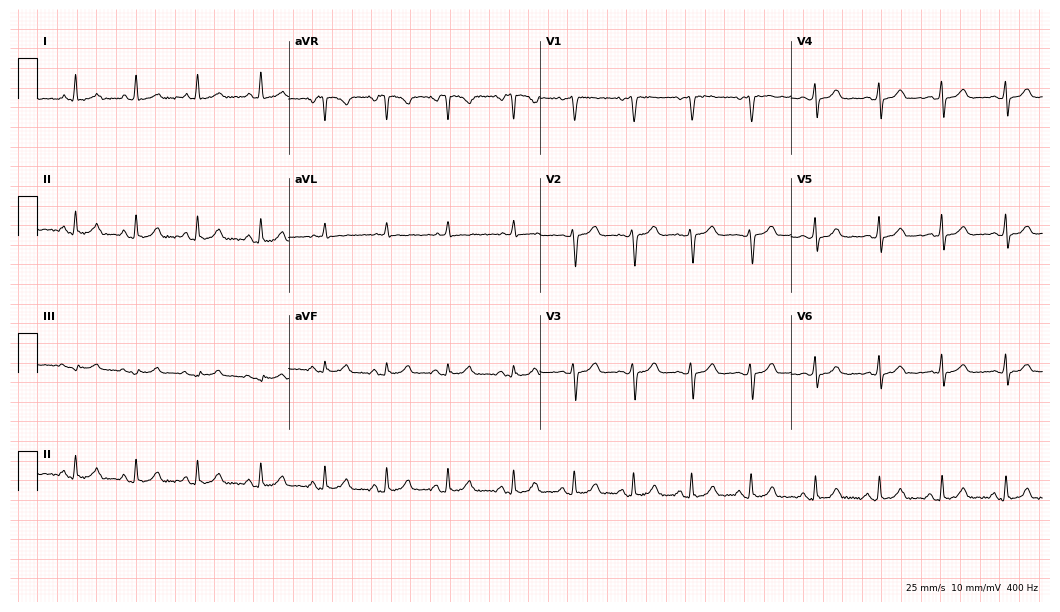
Resting 12-lead electrocardiogram (10.2-second recording at 400 Hz). Patient: a 35-year-old woman. Read as a normal ECG.